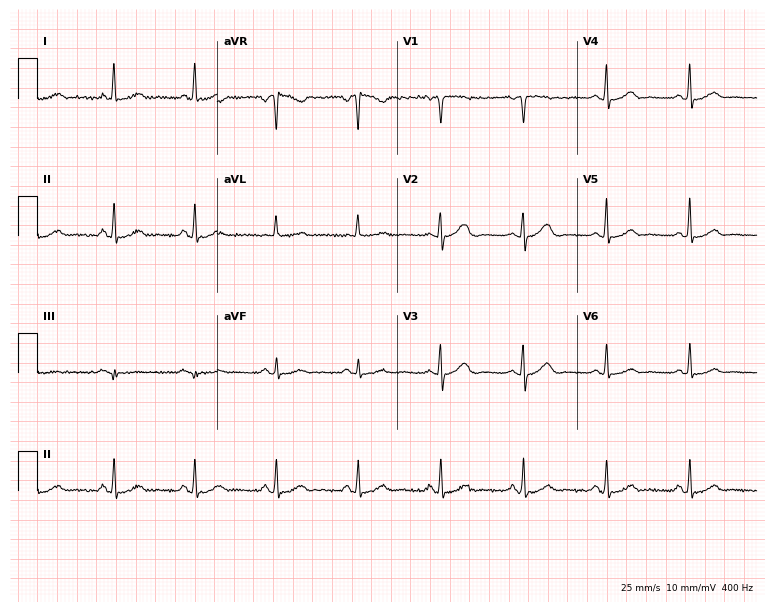
Resting 12-lead electrocardiogram (7.3-second recording at 400 Hz). Patient: a female, 60 years old. Read as a normal ECG.